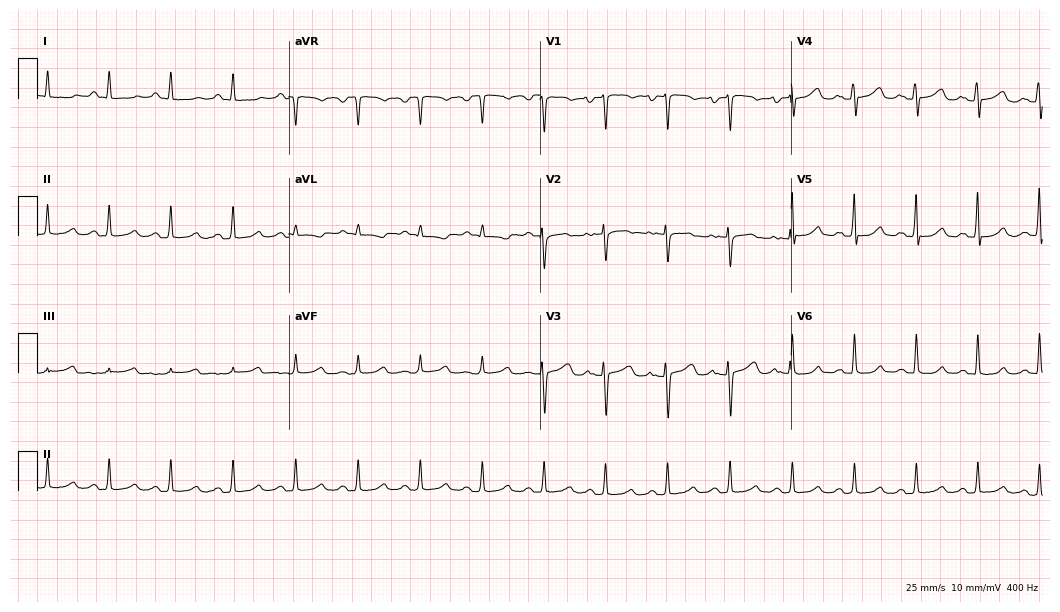
ECG — a woman, 18 years old. Labelled as a normal ECG.